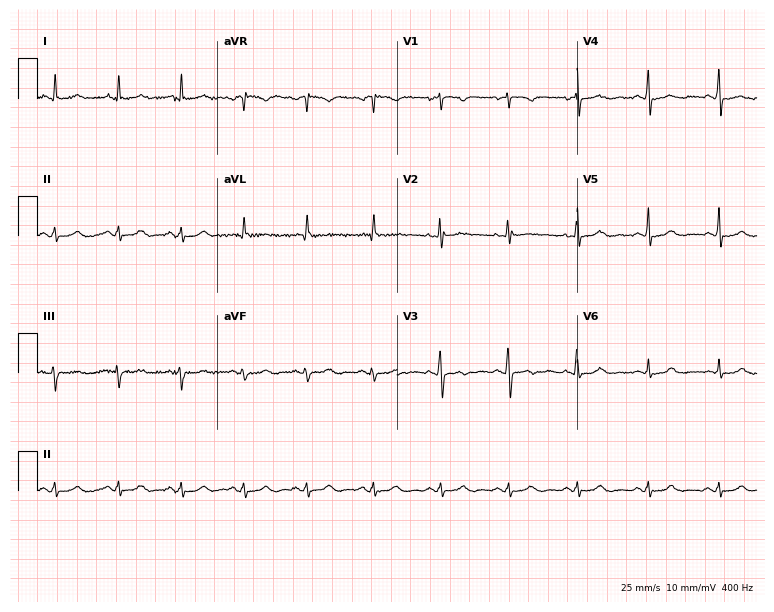
Electrocardiogram, a 41-year-old woman. Of the six screened findings (first-degree AV block, right bundle branch block, left bundle branch block, sinus bradycardia, atrial fibrillation, sinus tachycardia), none is recorded. Other findings, if any, are not listed.